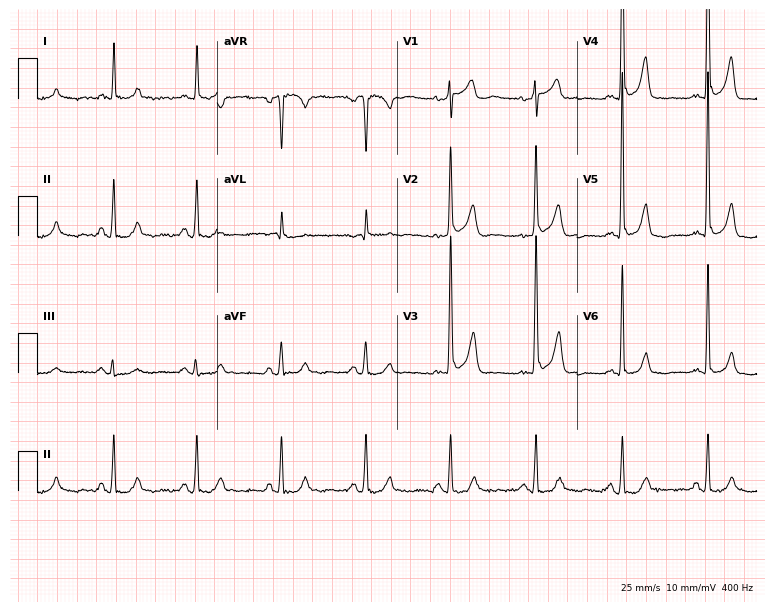
Electrocardiogram, a 74-year-old male. Of the six screened findings (first-degree AV block, right bundle branch block (RBBB), left bundle branch block (LBBB), sinus bradycardia, atrial fibrillation (AF), sinus tachycardia), none is recorded.